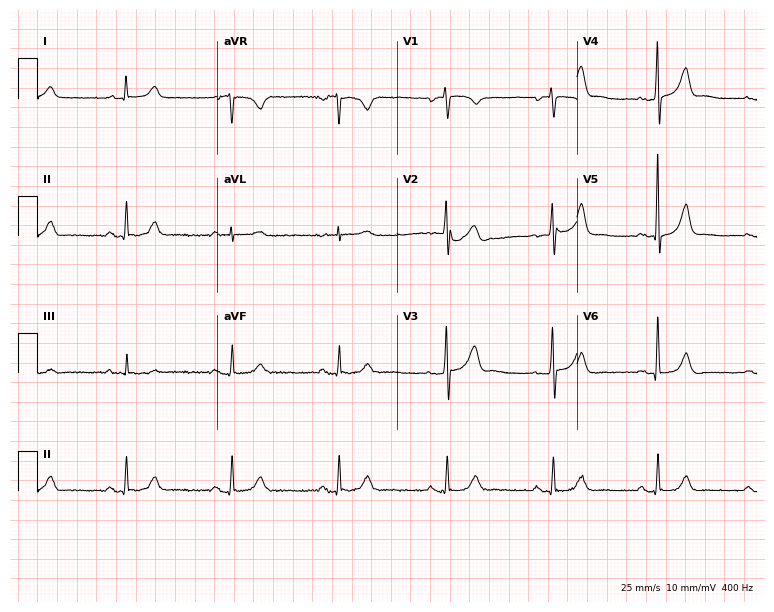
Electrocardiogram, an 81-year-old male patient. Overall reading on record: normal ECG.